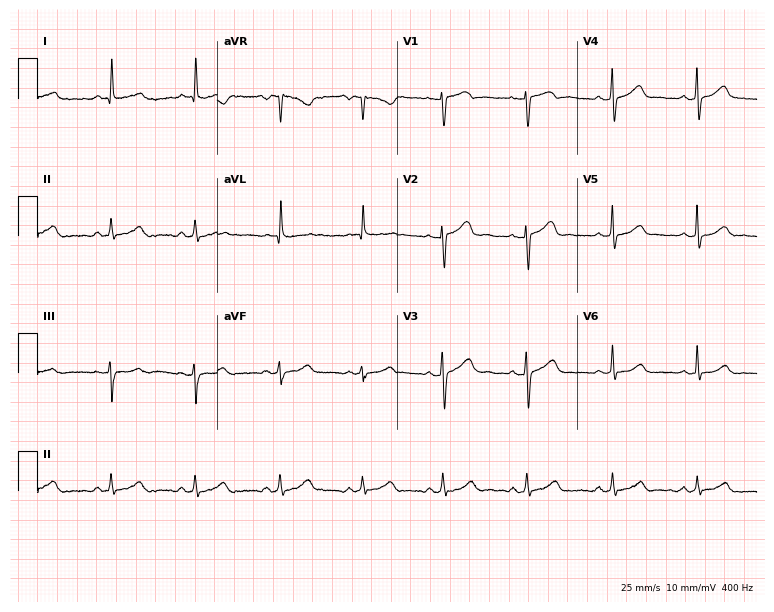
Standard 12-lead ECG recorded from a 34-year-old female (7.3-second recording at 400 Hz). Read as a normal ECG.